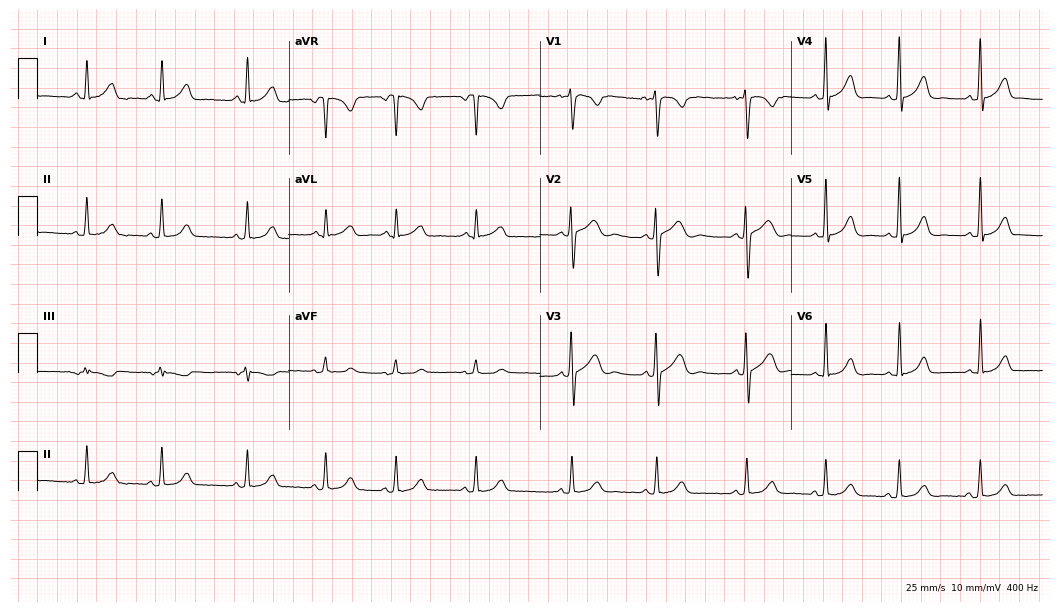
ECG (10.2-second recording at 400 Hz) — a woman, 19 years old. Screened for six findings — first-degree AV block, right bundle branch block (RBBB), left bundle branch block (LBBB), sinus bradycardia, atrial fibrillation (AF), sinus tachycardia — none is recorded.